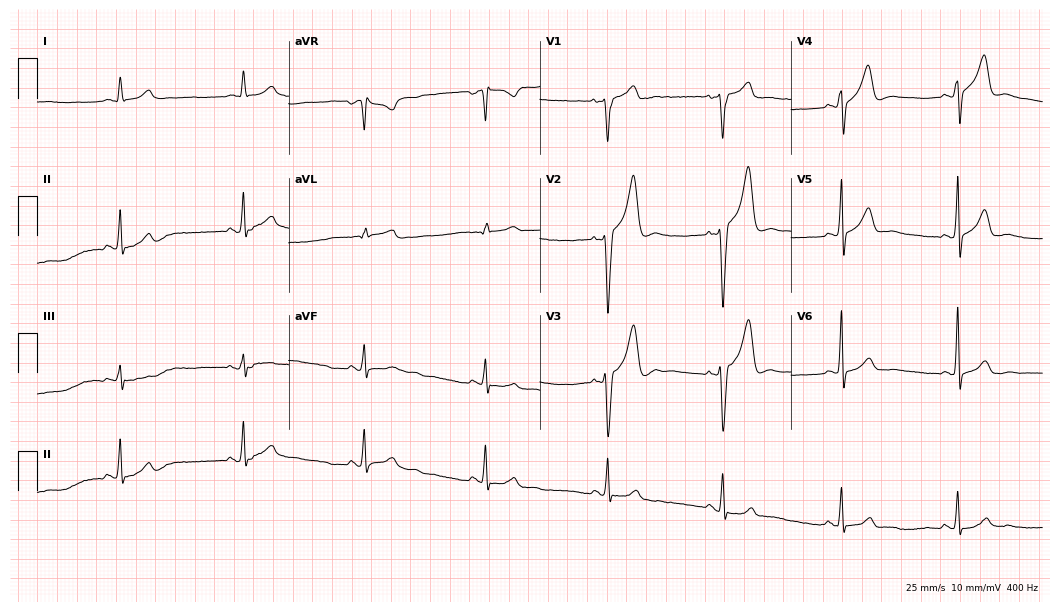
Standard 12-lead ECG recorded from a 58-year-old woman. The tracing shows sinus bradycardia (a sinus rate of 50 beats per minute or less).